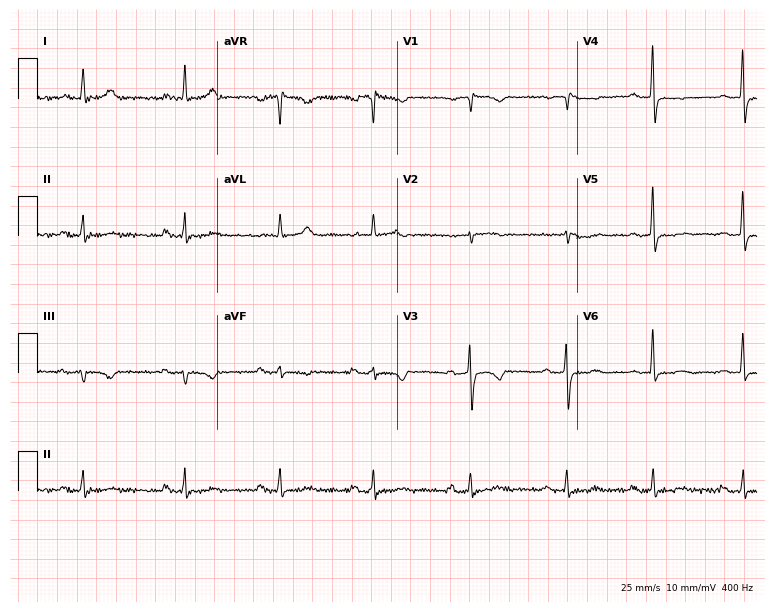
Resting 12-lead electrocardiogram. Patient: a female, 68 years old. None of these six findings is recorded: first-degree AV block, right bundle branch block (RBBB), left bundle branch block (LBBB), sinus bradycardia, atrial fibrillation (AF), sinus tachycardia.